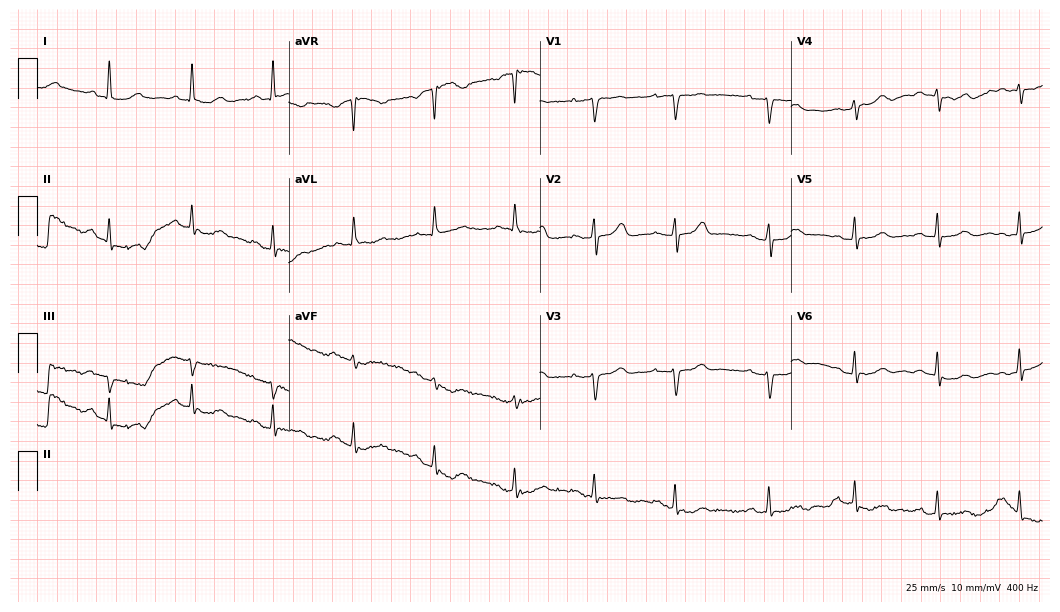
Standard 12-lead ECG recorded from a woman, 82 years old (10.2-second recording at 400 Hz). None of these six findings is recorded: first-degree AV block, right bundle branch block (RBBB), left bundle branch block (LBBB), sinus bradycardia, atrial fibrillation (AF), sinus tachycardia.